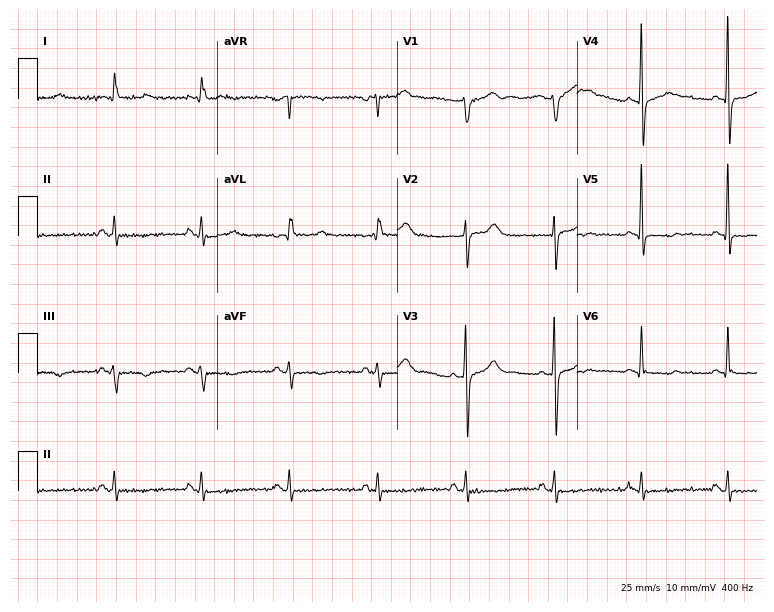
Standard 12-lead ECG recorded from a 75-year-old man (7.3-second recording at 400 Hz). None of these six findings is recorded: first-degree AV block, right bundle branch block (RBBB), left bundle branch block (LBBB), sinus bradycardia, atrial fibrillation (AF), sinus tachycardia.